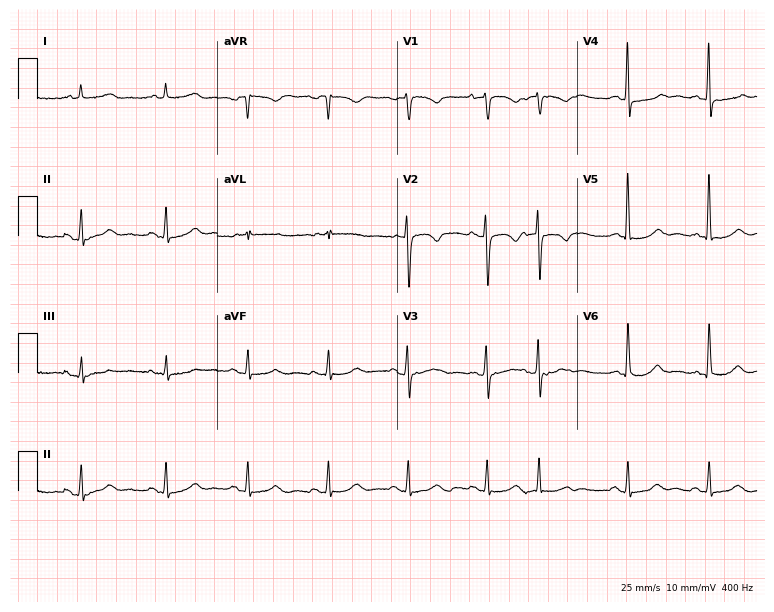
Electrocardiogram (7.3-second recording at 400 Hz), a female, 59 years old. Of the six screened findings (first-degree AV block, right bundle branch block, left bundle branch block, sinus bradycardia, atrial fibrillation, sinus tachycardia), none is recorded. Other findings, if any, are not listed.